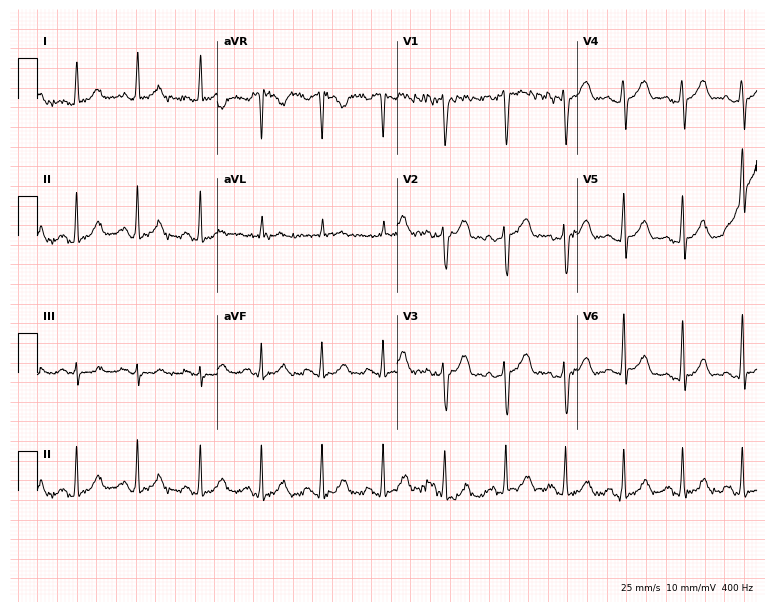
Resting 12-lead electrocardiogram. Patient: a man, 40 years old. Read as a normal ECG.